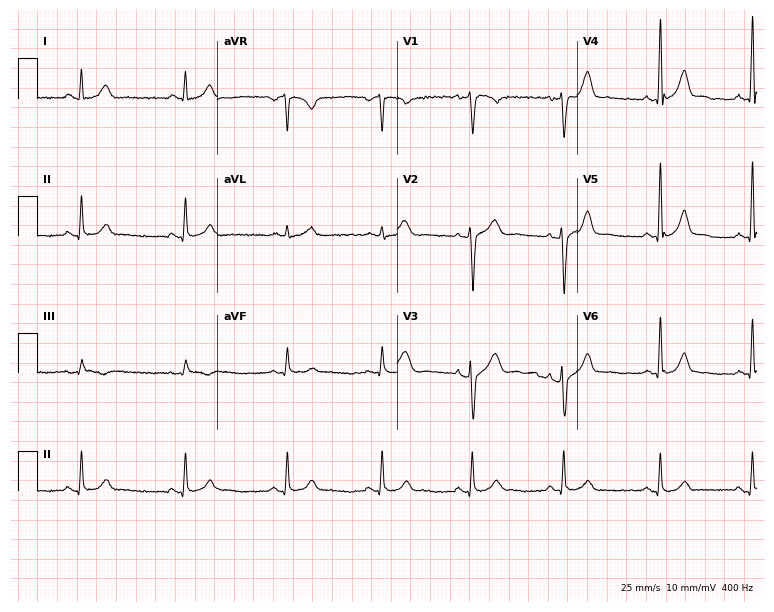
ECG — a 41-year-old man. Labelled as a normal ECG.